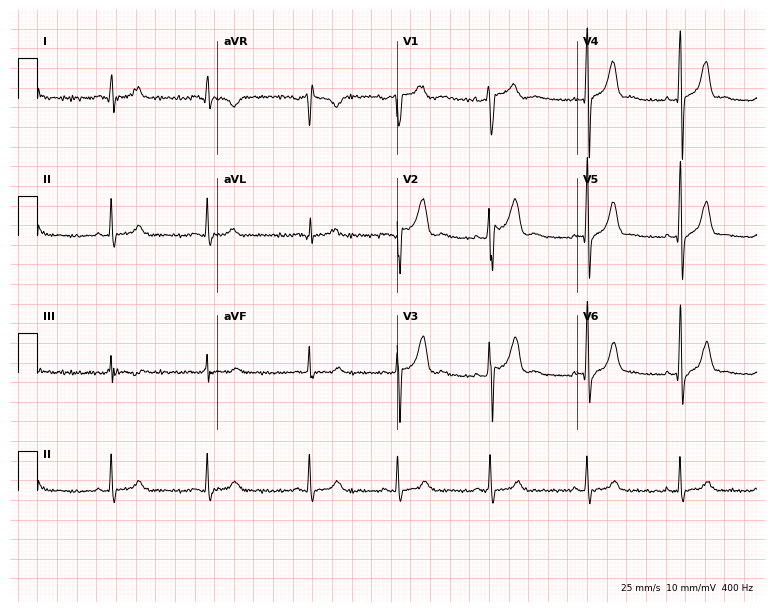
Standard 12-lead ECG recorded from a 22-year-old male (7.3-second recording at 400 Hz). None of these six findings is recorded: first-degree AV block, right bundle branch block (RBBB), left bundle branch block (LBBB), sinus bradycardia, atrial fibrillation (AF), sinus tachycardia.